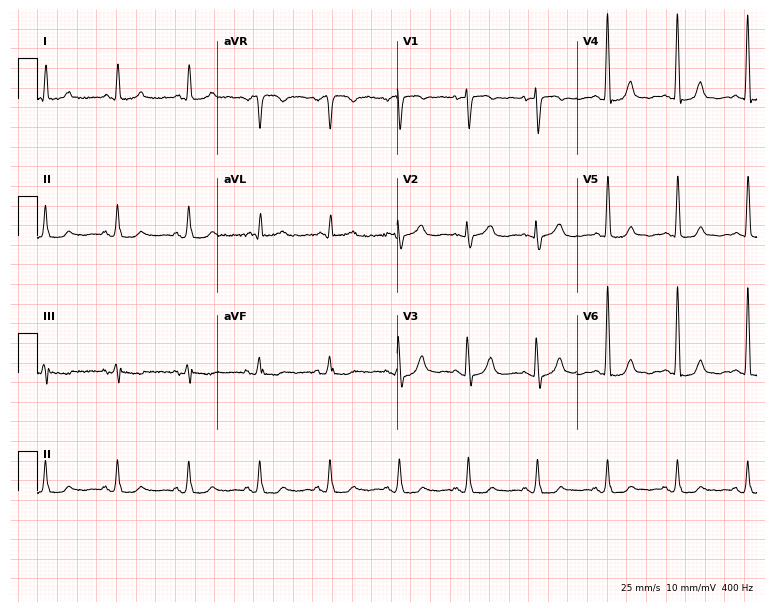
ECG — a female, 61 years old. Screened for six findings — first-degree AV block, right bundle branch block (RBBB), left bundle branch block (LBBB), sinus bradycardia, atrial fibrillation (AF), sinus tachycardia — none is recorded.